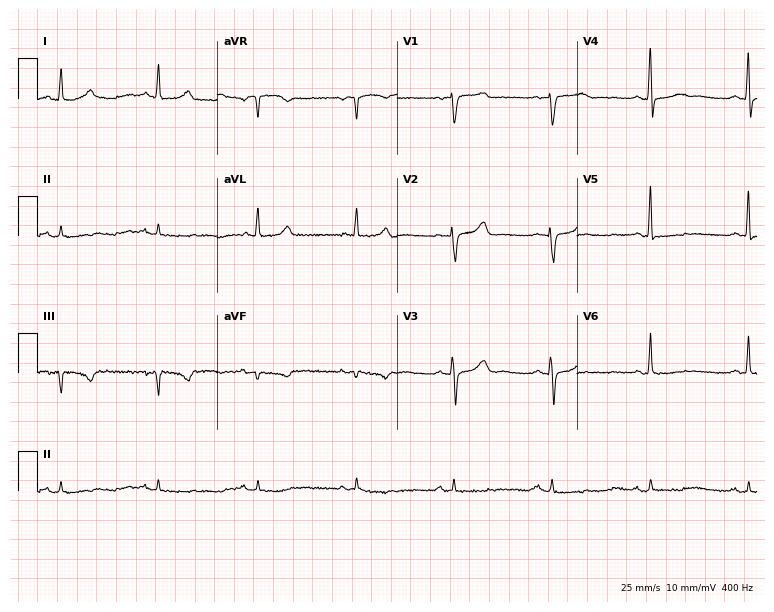
12-lead ECG from a man, 64 years old. No first-degree AV block, right bundle branch block, left bundle branch block, sinus bradycardia, atrial fibrillation or sinus tachycardia recorded for this tracing. Findings outside these six are not listed.